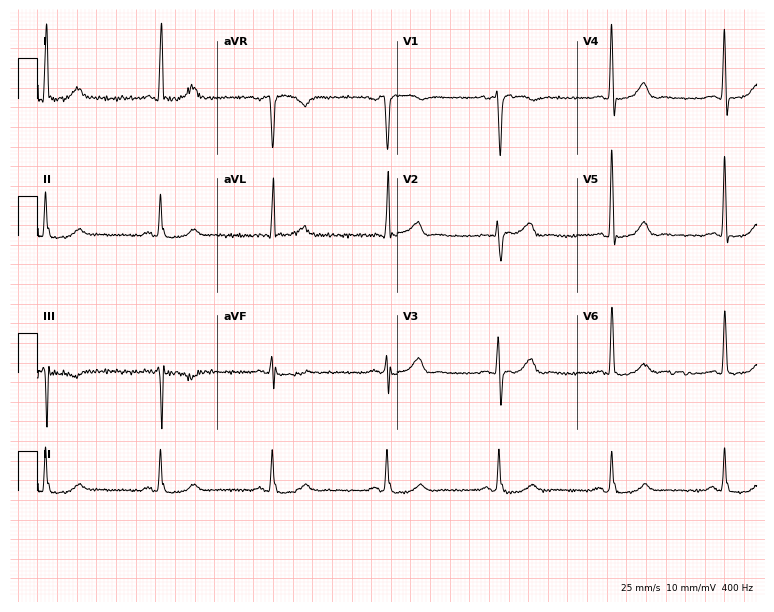
ECG (7.3-second recording at 400 Hz) — an 82-year-old woman. Labelled as a normal ECG.